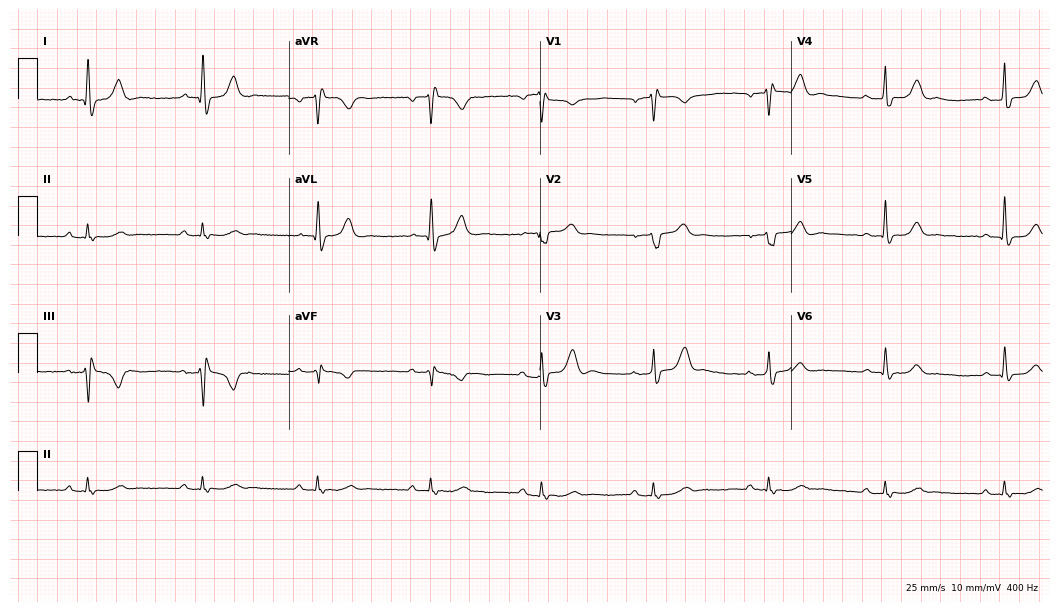
Electrocardiogram, a man, 63 years old. Of the six screened findings (first-degree AV block, right bundle branch block (RBBB), left bundle branch block (LBBB), sinus bradycardia, atrial fibrillation (AF), sinus tachycardia), none is recorded. Other findings, if any, are not listed.